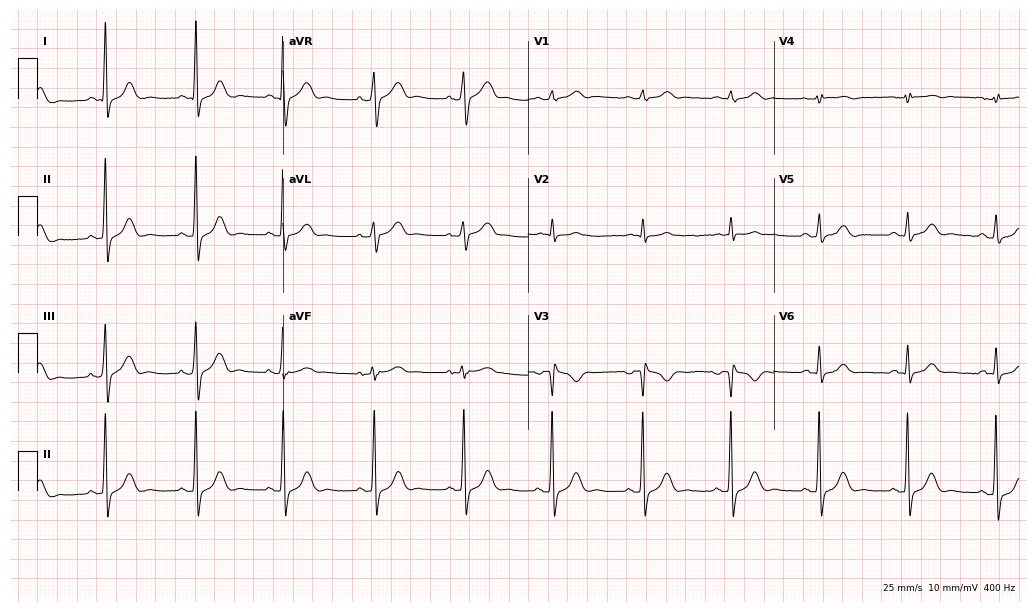
Resting 12-lead electrocardiogram. Patient: a male, 60 years old. None of these six findings is recorded: first-degree AV block, right bundle branch block, left bundle branch block, sinus bradycardia, atrial fibrillation, sinus tachycardia. Only these six findings were labelled.